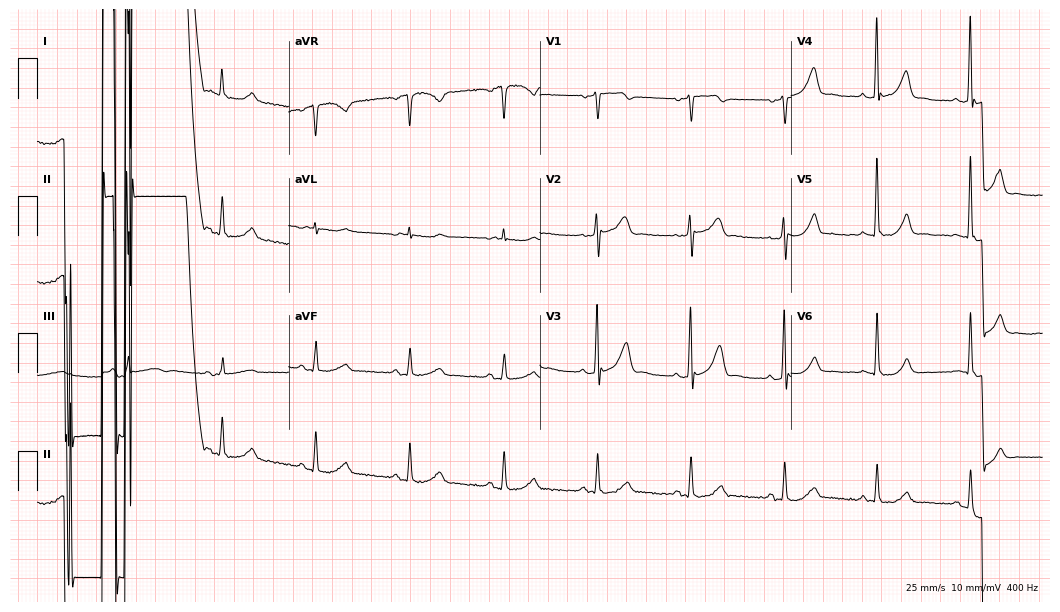
12-lead ECG from an 81-year-old male (10.2-second recording at 400 Hz). No first-degree AV block, right bundle branch block, left bundle branch block, sinus bradycardia, atrial fibrillation or sinus tachycardia recorded for this tracing. Other findings, if any, are not listed.